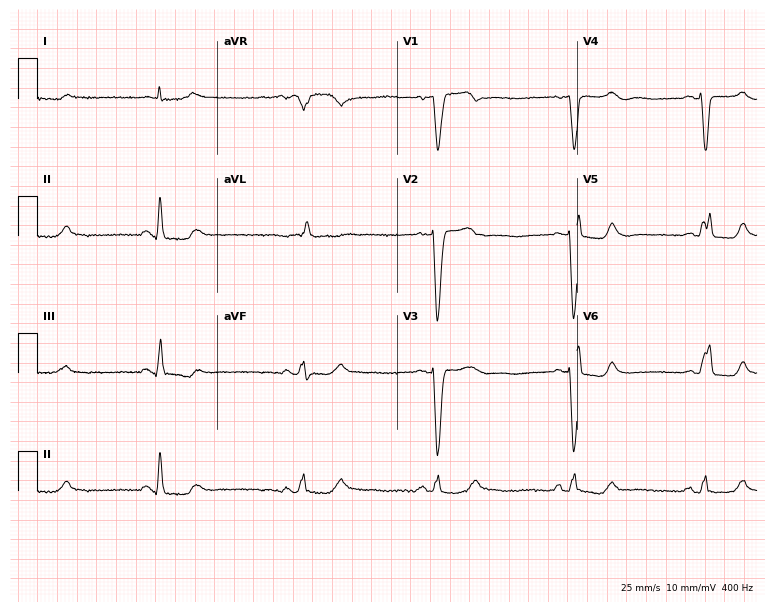
Standard 12-lead ECG recorded from an 85-year-old male patient. The tracing shows left bundle branch block (LBBB), sinus bradycardia (a sinus rate of 50 beats per minute or less).